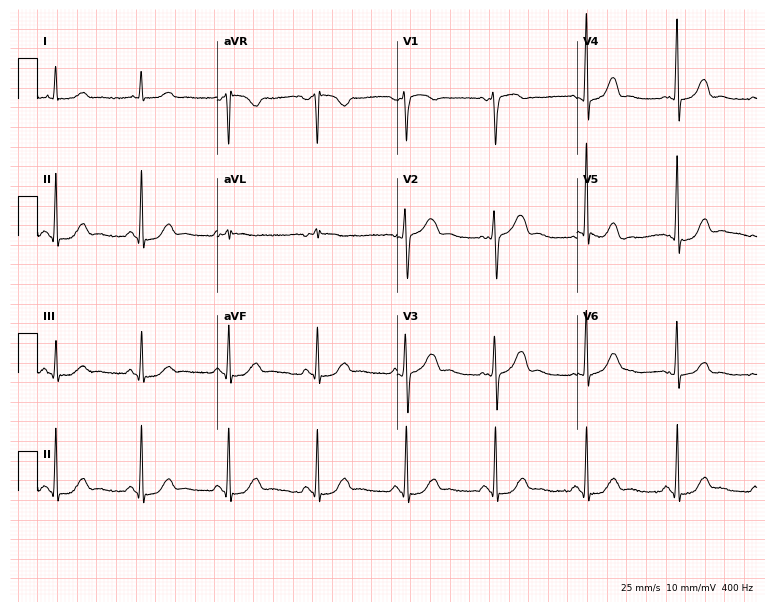
Electrocardiogram (7.3-second recording at 400 Hz), a 62-year-old woman. Overall reading on record: normal ECG.